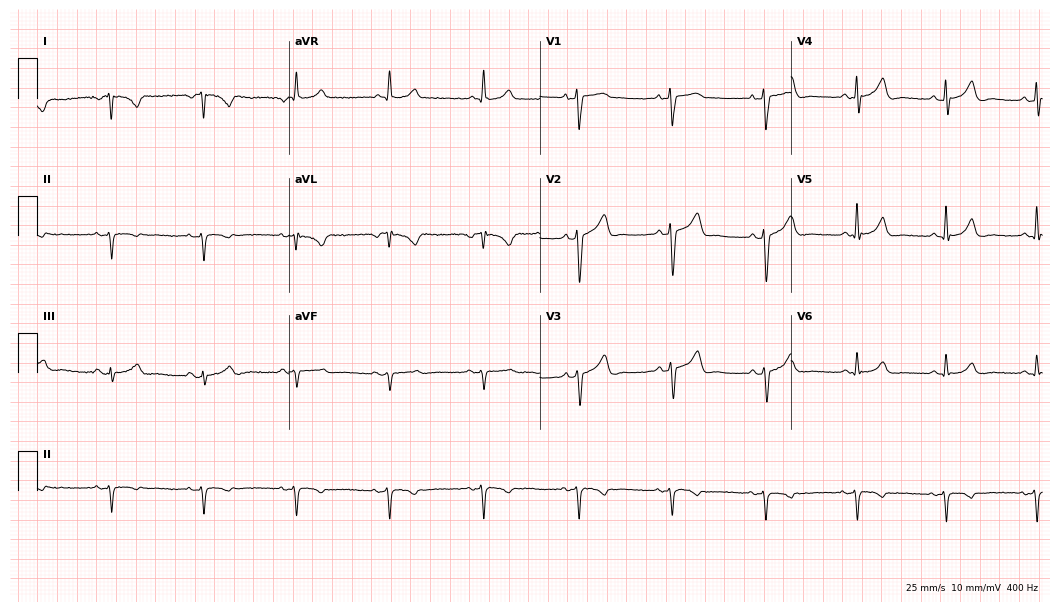
Electrocardiogram, a man, 52 years old. Of the six screened findings (first-degree AV block, right bundle branch block (RBBB), left bundle branch block (LBBB), sinus bradycardia, atrial fibrillation (AF), sinus tachycardia), none is recorded.